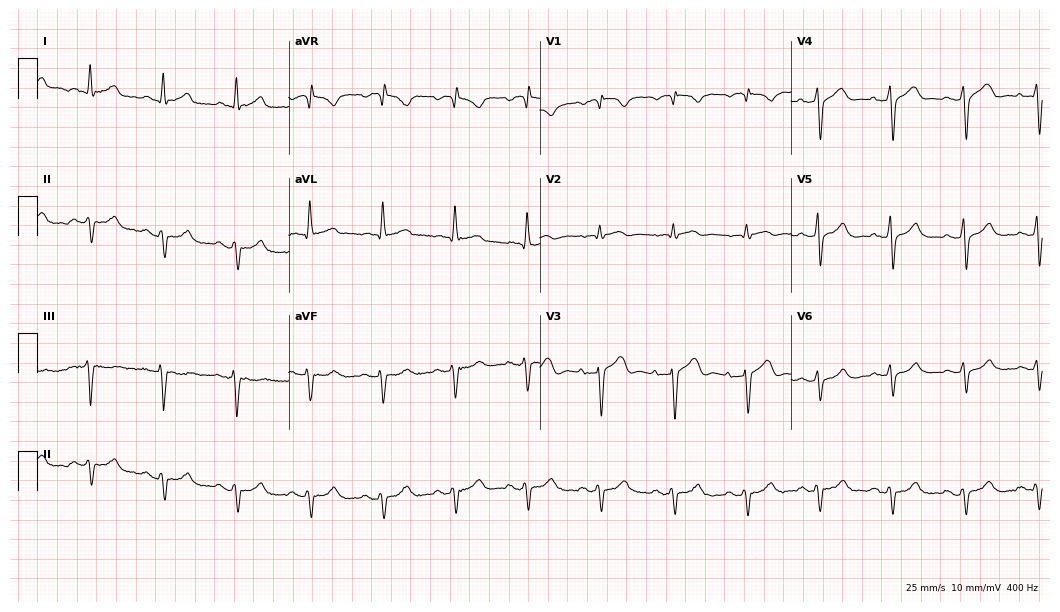
Electrocardiogram, a 71-year-old female patient. Of the six screened findings (first-degree AV block, right bundle branch block, left bundle branch block, sinus bradycardia, atrial fibrillation, sinus tachycardia), none is recorded.